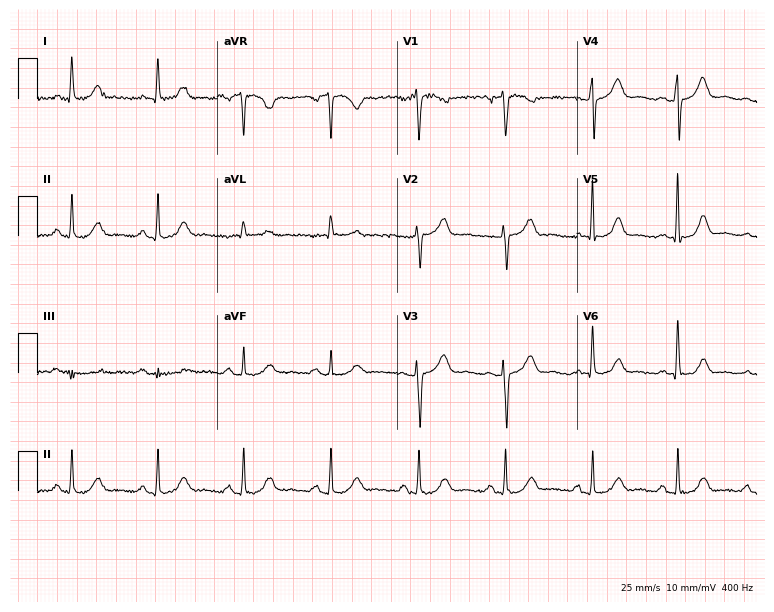
12-lead ECG from a 58-year-old female. Labelled as a normal ECG.